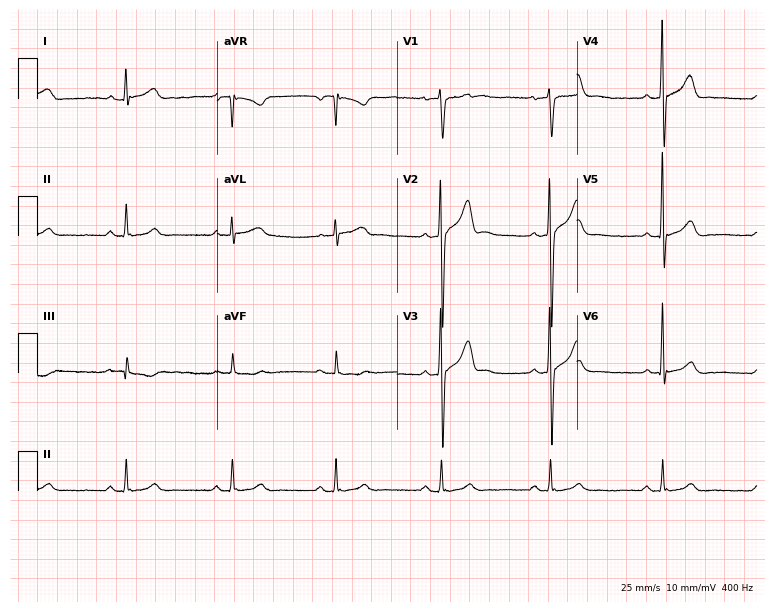
12-lead ECG (7.3-second recording at 400 Hz) from a 43-year-old man. Screened for six findings — first-degree AV block, right bundle branch block, left bundle branch block, sinus bradycardia, atrial fibrillation, sinus tachycardia — none is recorded. Only these six findings were labelled.